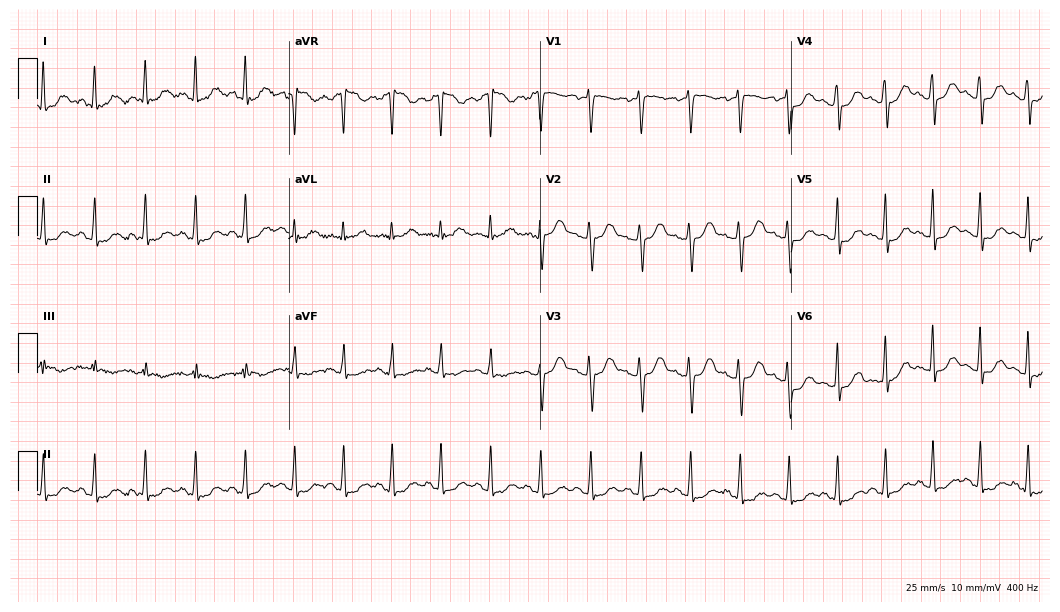
12-lead ECG from a woman, 32 years old. Shows sinus tachycardia (a sinus rate of 100 beats per minute or more).